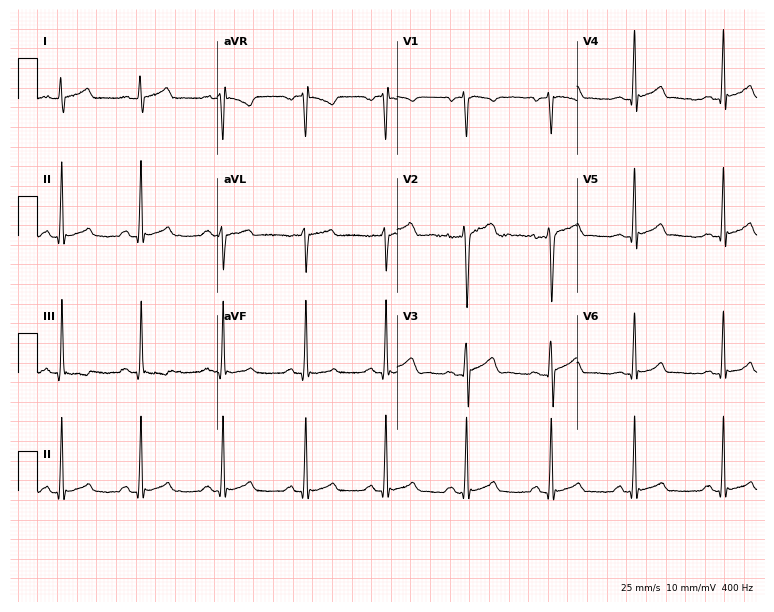
12-lead ECG from a man, 25 years old. Labelled as a normal ECG.